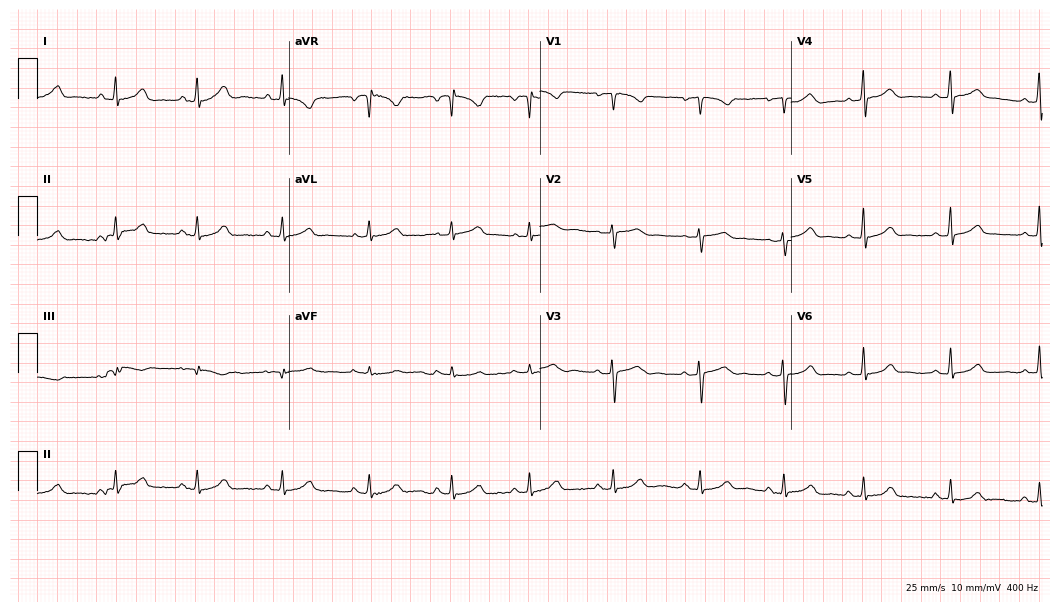
12-lead ECG from a woman, 31 years old. Labelled as a normal ECG.